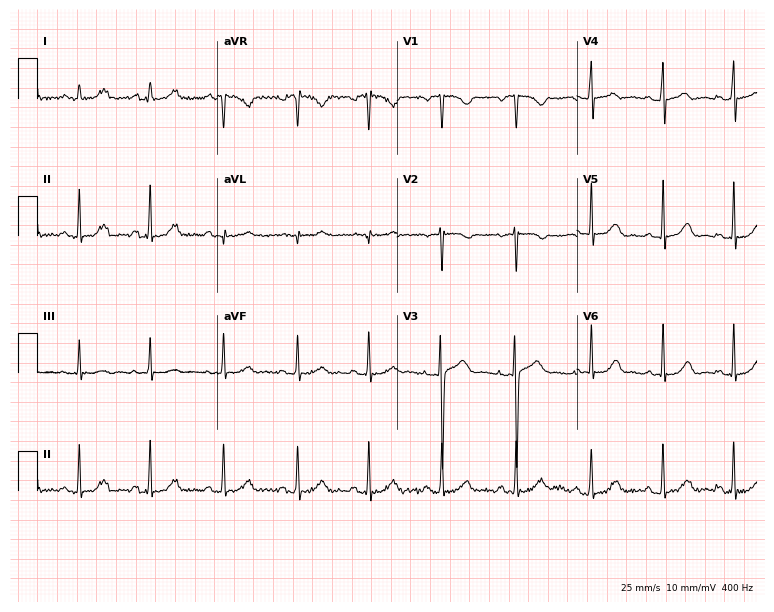
12-lead ECG from a 22-year-old female. Labelled as a normal ECG.